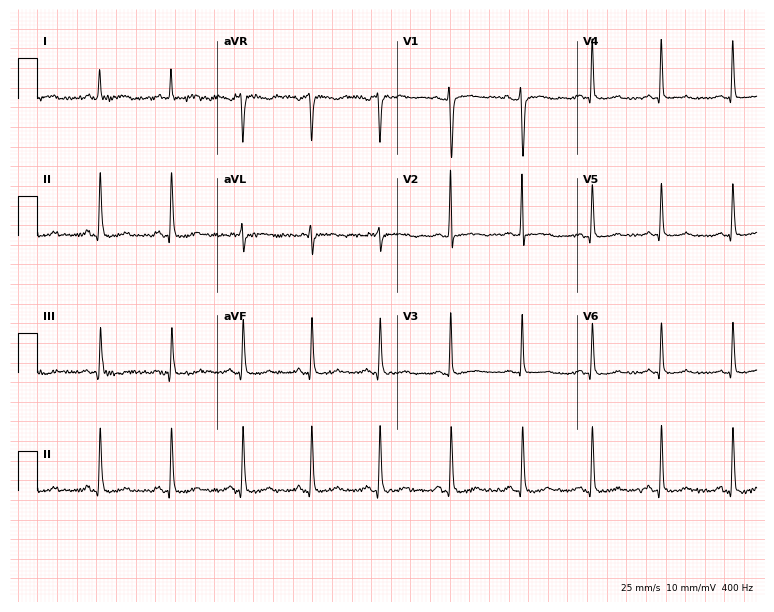
12-lead ECG (7.3-second recording at 400 Hz) from a 48-year-old female. Screened for six findings — first-degree AV block, right bundle branch block, left bundle branch block, sinus bradycardia, atrial fibrillation, sinus tachycardia — none is recorded. Findings outside these six are not listed.